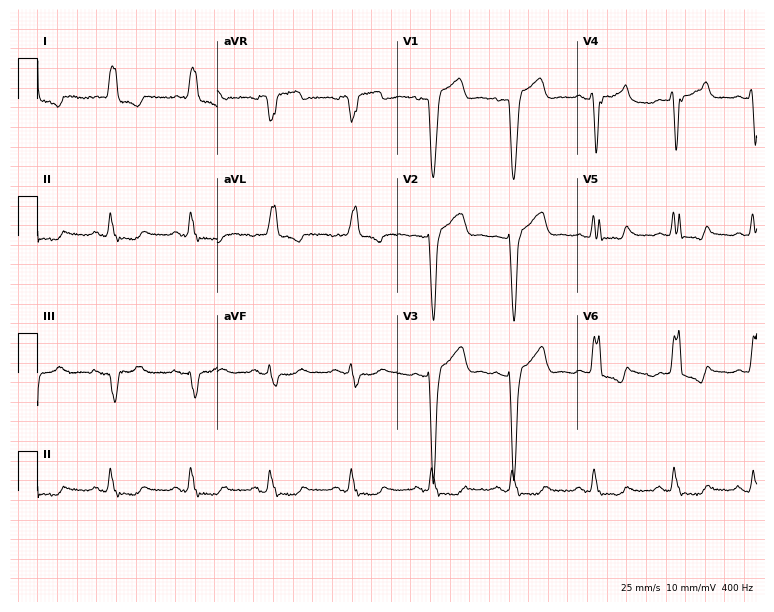
Standard 12-lead ECG recorded from a 71-year-old woman. The tracing shows left bundle branch block.